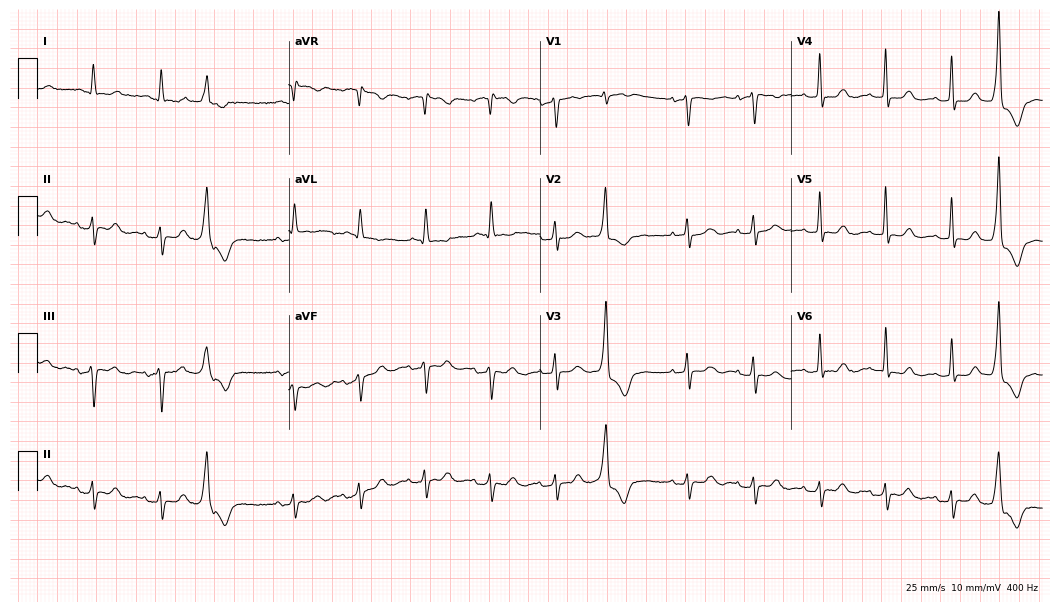
12-lead ECG from a female, 78 years old (10.2-second recording at 400 Hz). No first-degree AV block, right bundle branch block (RBBB), left bundle branch block (LBBB), sinus bradycardia, atrial fibrillation (AF) or sinus tachycardia recorded for this tracing. Only these six findings were labelled.